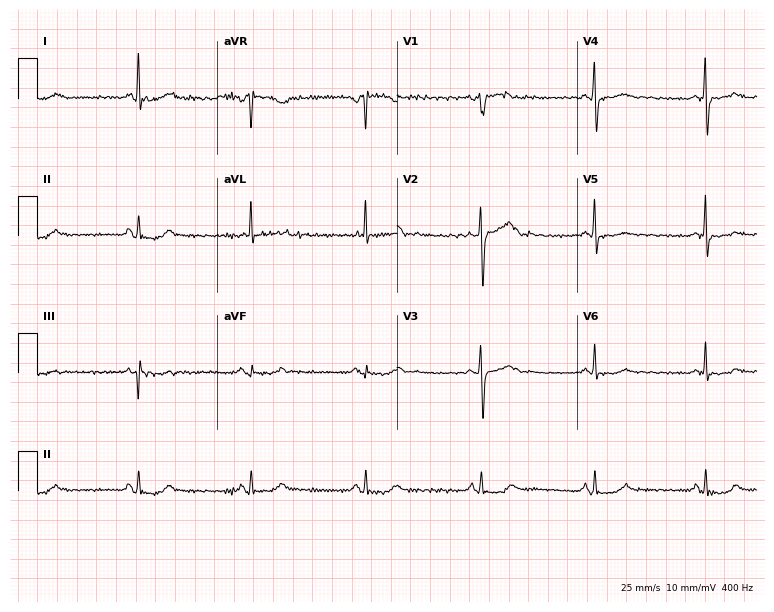
12-lead ECG from a female, 65 years old. No first-degree AV block, right bundle branch block, left bundle branch block, sinus bradycardia, atrial fibrillation or sinus tachycardia recorded for this tracing.